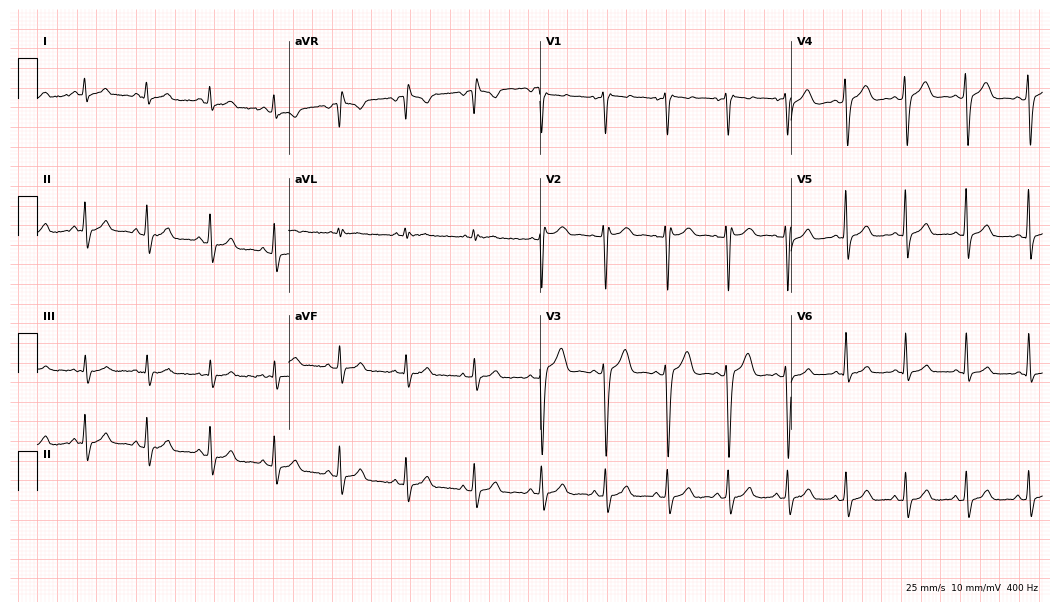
12-lead ECG from a male, 24 years old. Recorded interpretation: within normal limits.